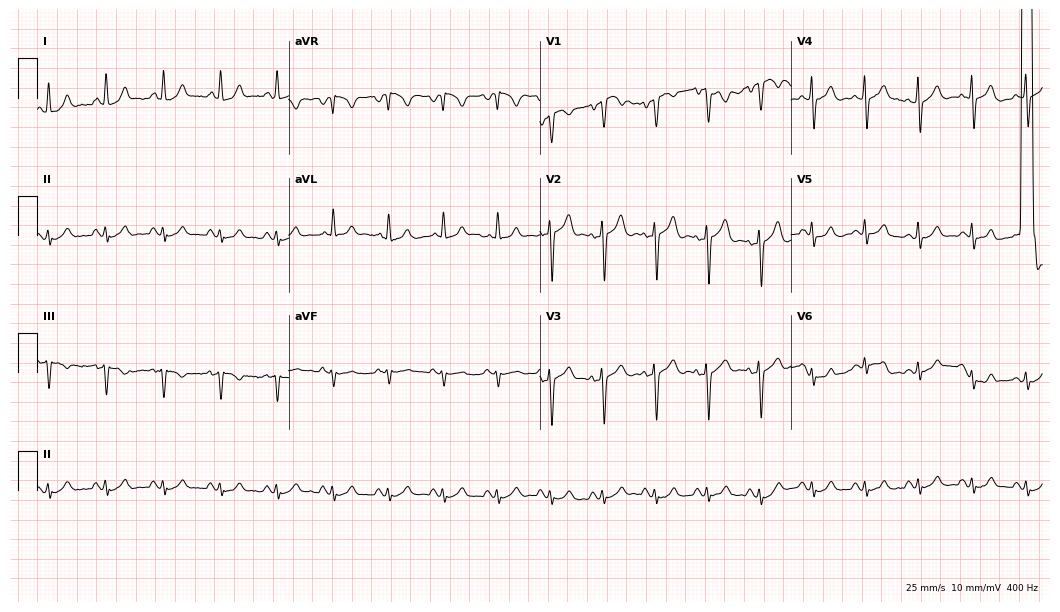
12-lead ECG from a male, 68 years old (10.2-second recording at 400 Hz). Shows sinus tachycardia (a sinus rate of 100 beats per minute or more).